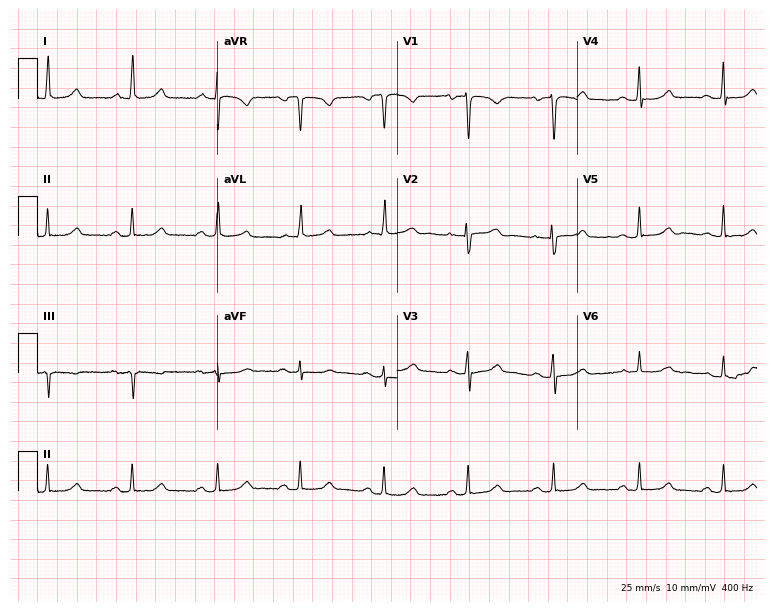
12-lead ECG from a female patient, 47 years old (7.3-second recording at 400 Hz). Recorded interpretation: within normal limits.